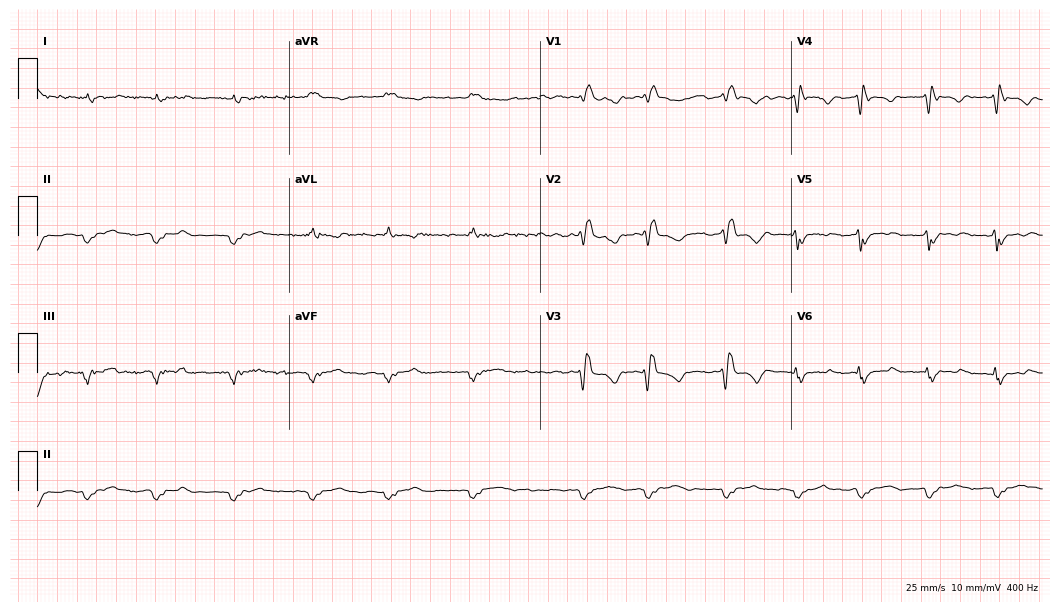
12-lead ECG from a man, 45 years old (10.2-second recording at 400 Hz). No first-degree AV block, right bundle branch block, left bundle branch block, sinus bradycardia, atrial fibrillation or sinus tachycardia recorded for this tracing. Other findings, if any, are not listed.